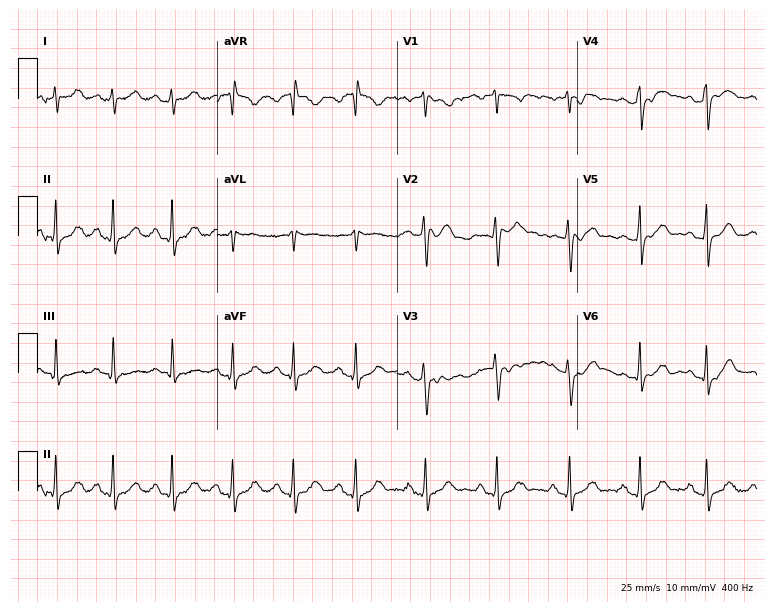
Resting 12-lead electrocardiogram (7.3-second recording at 400 Hz). Patient: a woman, 44 years old. None of these six findings is recorded: first-degree AV block, right bundle branch block, left bundle branch block, sinus bradycardia, atrial fibrillation, sinus tachycardia.